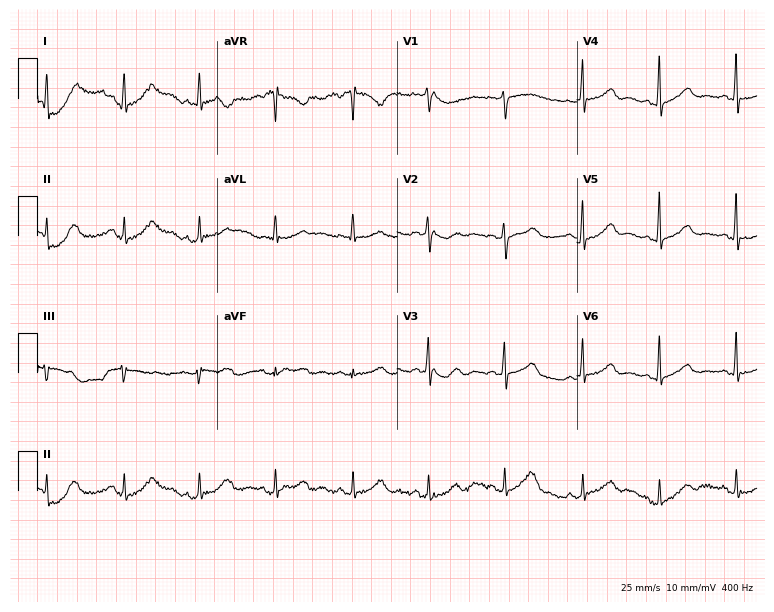
ECG — a female patient, 46 years old. Labelled as a normal ECG.